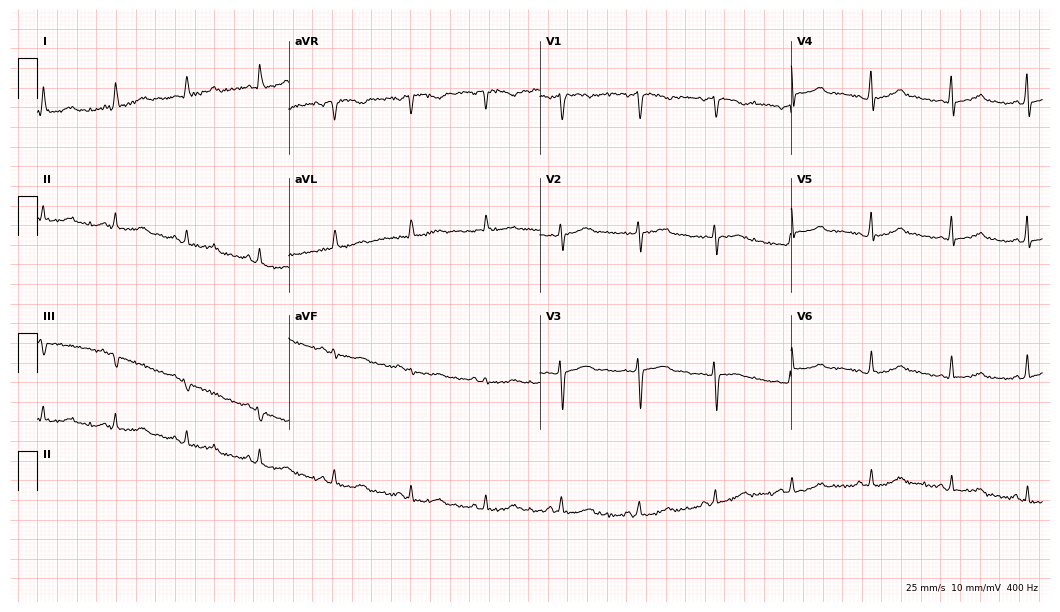
Electrocardiogram, a woman, 52 years old. Of the six screened findings (first-degree AV block, right bundle branch block, left bundle branch block, sinus bradycardia, atrial fibrillation, sinus tachycardia), none is recorded. Other findings, if any, are not listed.